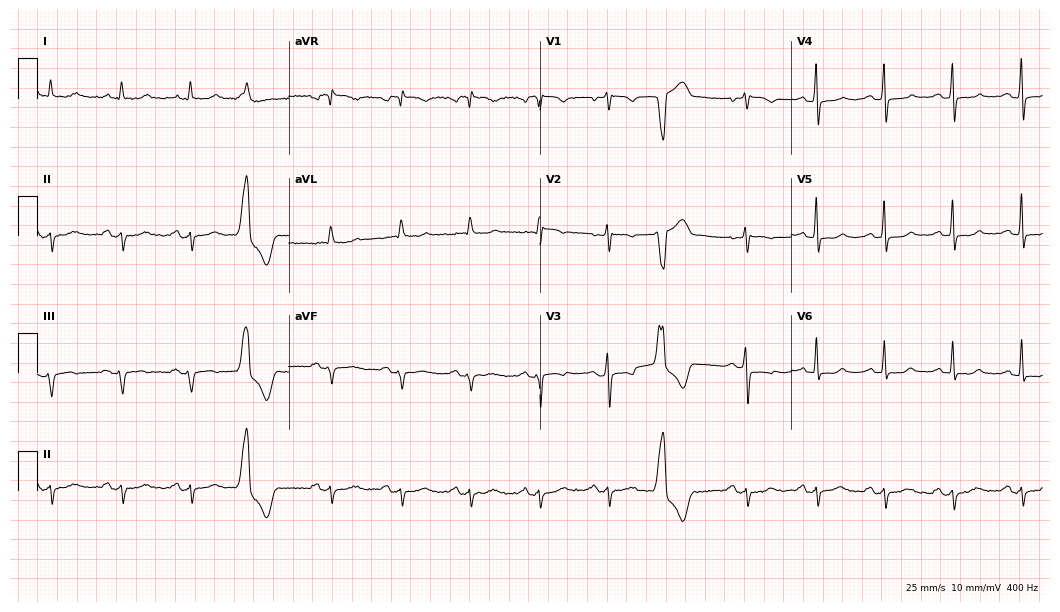
ECG (10.2-second recording at 400 Hz) — a 75-year-old woman. Screened for six findings — first-degree AV block, right bundle branch block (RBBB), left bundle branch block (LBBB), sinus bradycardia, atrial fibrillation (AF), sinus tachycardia — none is recorded. Findings outside these six are not listed.